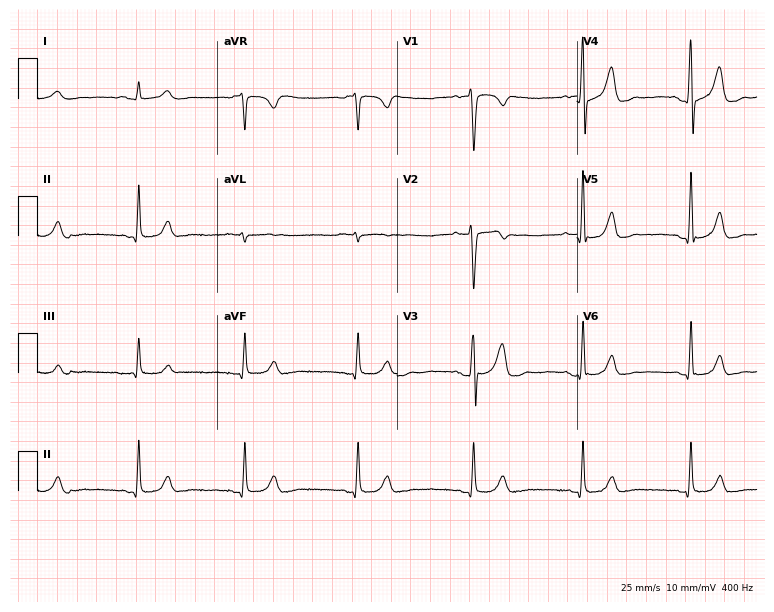
ECG — a 33-year-old female. Labelled as a normal ECG.